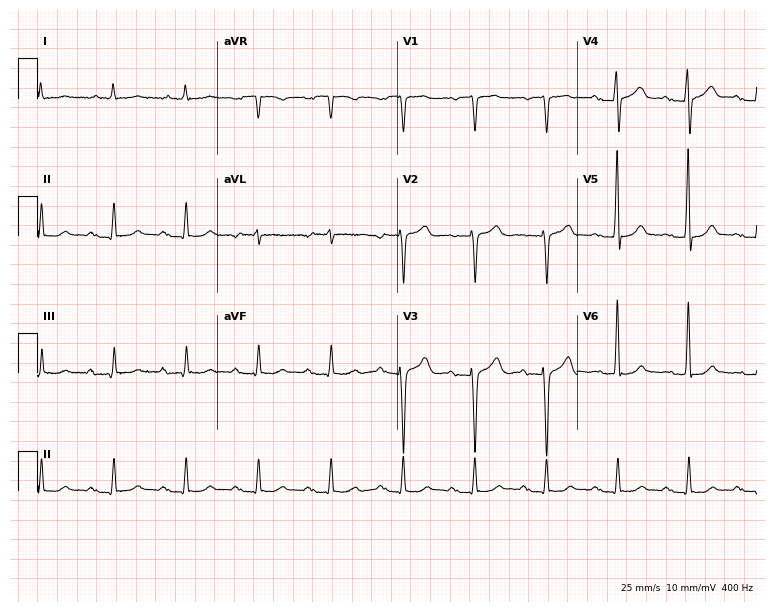
12-lead ECG from a male patient, 68 years old. Findings include first-degree AV block.